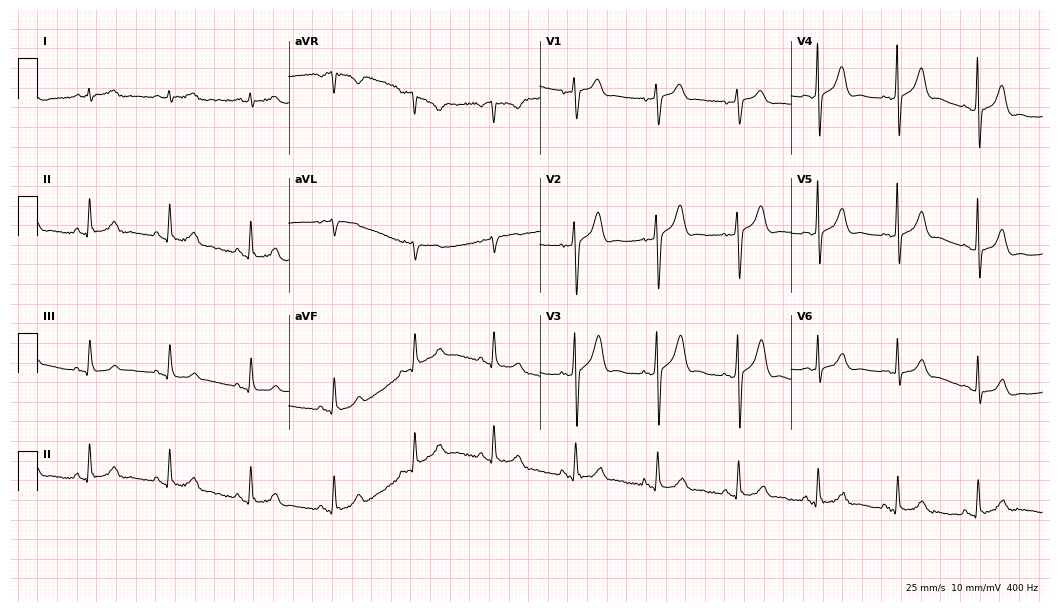
Standard 12-lead ECG recorded from a 55-year-old male patient (10.2-second recording at 400 Hz). Read as a normal ECG.